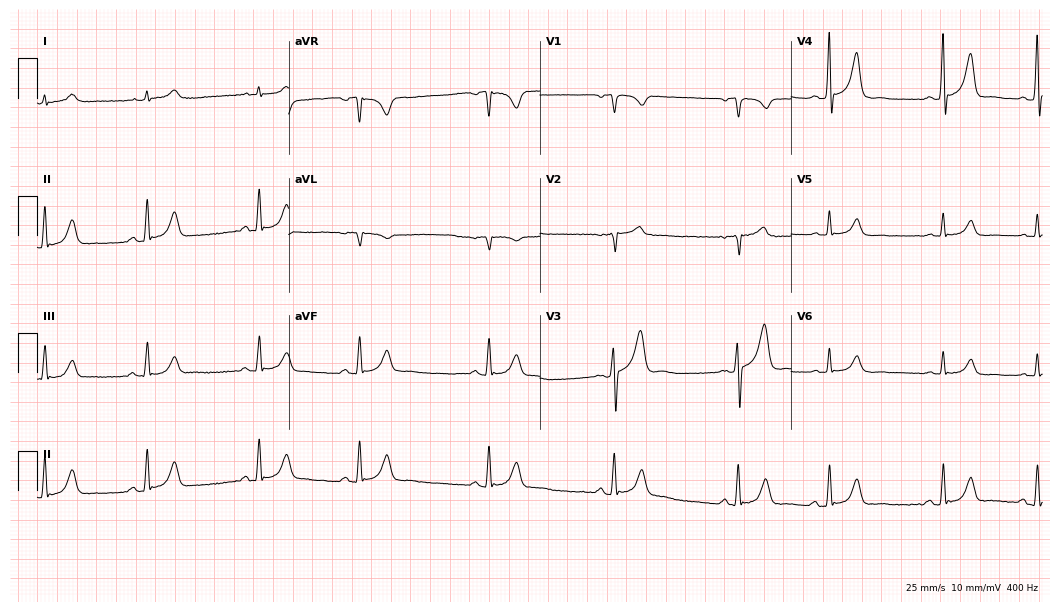
Electrocardiogram (10.2-second recording at 400 Hz), a male, 80 years old. Of the six screened findings (first-degree AV block, right bundle branch block, left bundle branch block, sinus bradycardia, atrial fibrillation, sinus tachycardia), none is recorded.